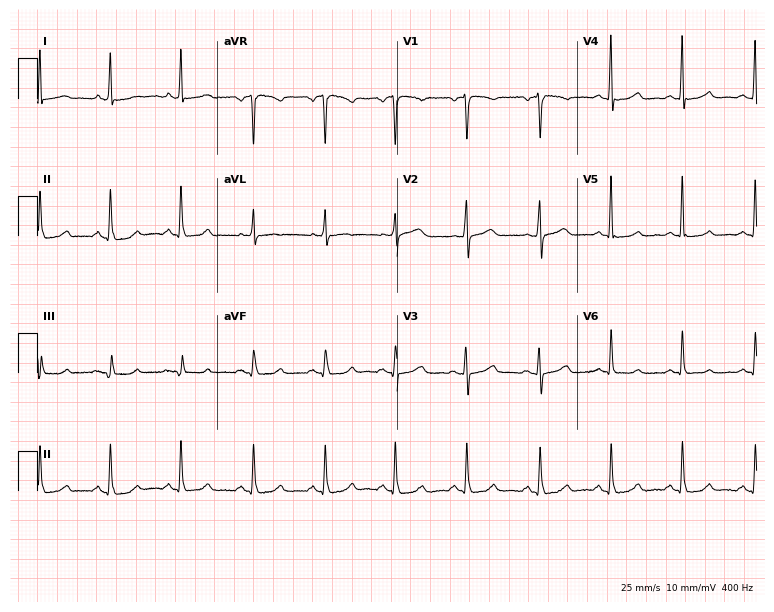
12-lead ECG from a 59-year-old female patient (7.3-second recording at 400 Hz). Recorded interpretation: within normal limits.